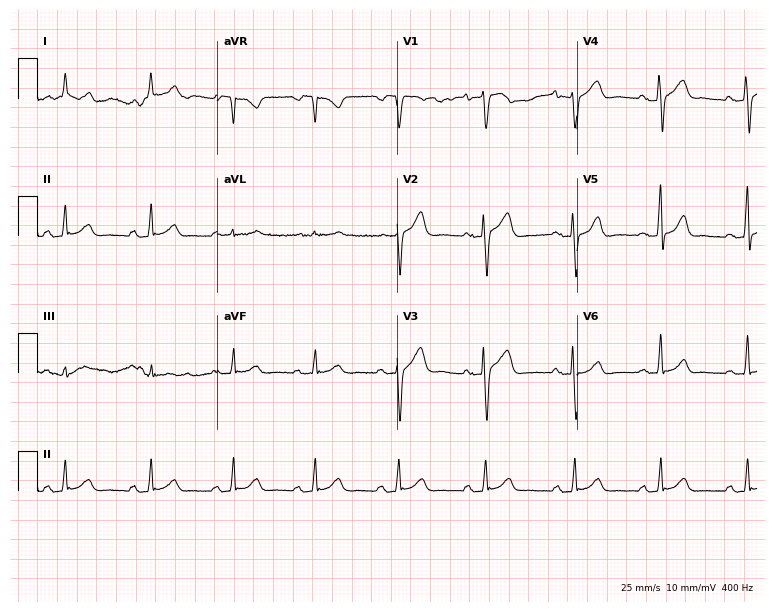
Standard 12-lead ECG recorded from a 41-year-old female patient. Read as a normal ECG.